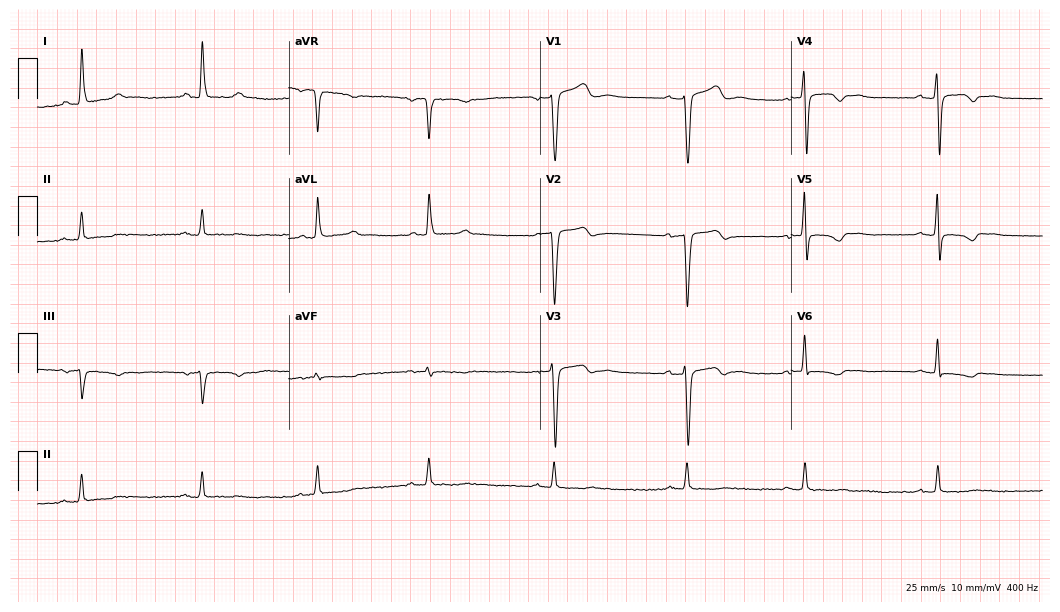
Standard 12-lead ECG recorded from a 45-year-old male patient. The tracing shows sinus bradycardia (a sinus rate of 50 beats per minute or less).